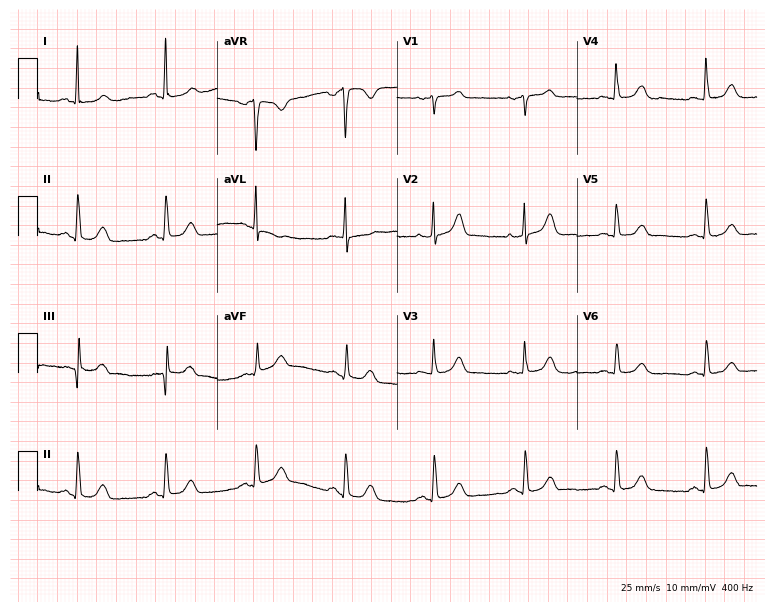
Electrocardiogram, a 79-year-old woman. Overall reading on record: normal ECG.